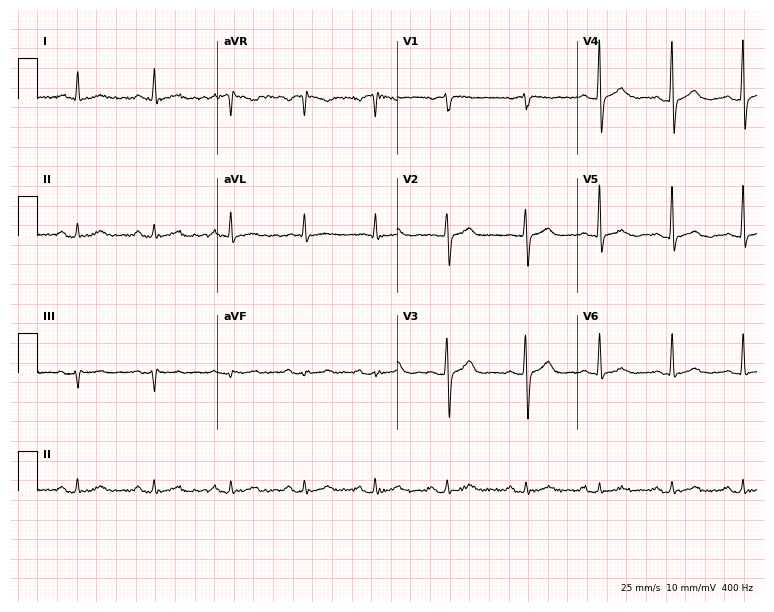
Resting 12-lead electrocardiogram (7.3-second recording at 400 Hz). Patient: a male, 64 years old. Read as a normal ECG.